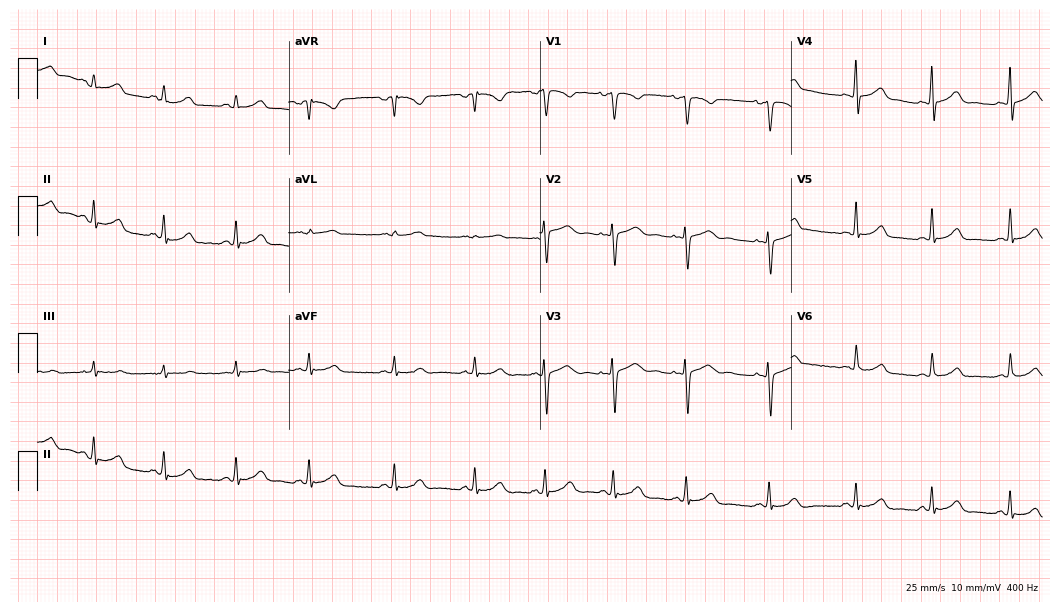
Electrocardiogram, a 22-year-old woman. Of the six screened findings (first-degree AV block, right bundle branch block (RBBB), left bundle branch block (LBBB), sinus bradycardia, atrial fibrillation (AF), sinus tachycardia), none is recorded.